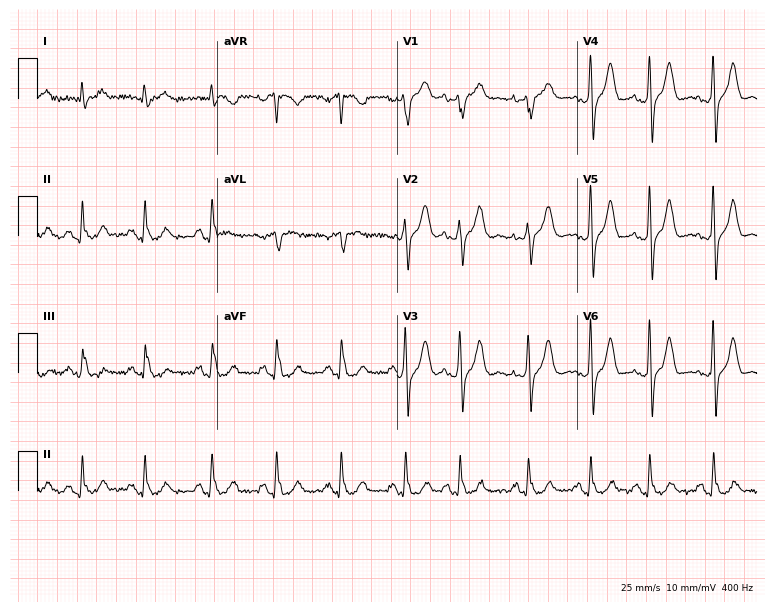
12-lead ECG from a 71-year-old male patient. Recorded interpretation: within normal limits.